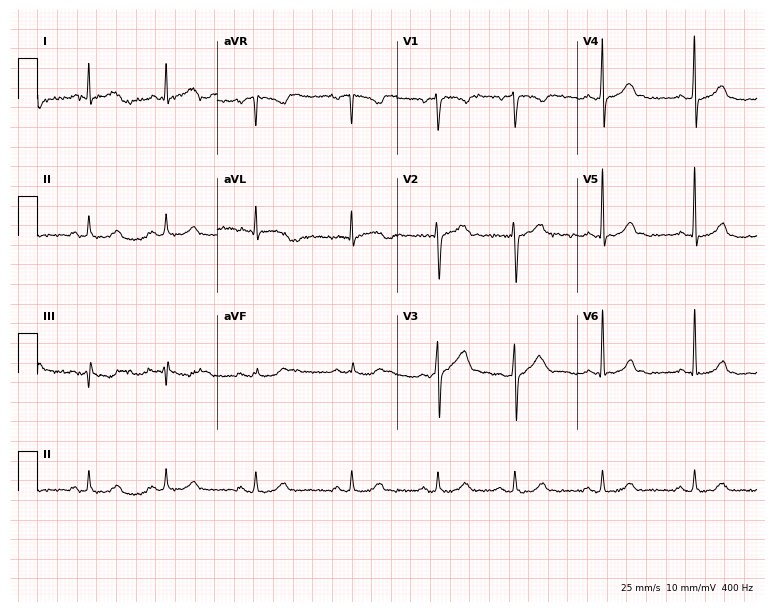
Resting 12-lead electrocardiogram. Patient: a 42-year-old male. Read as a normal ECG.